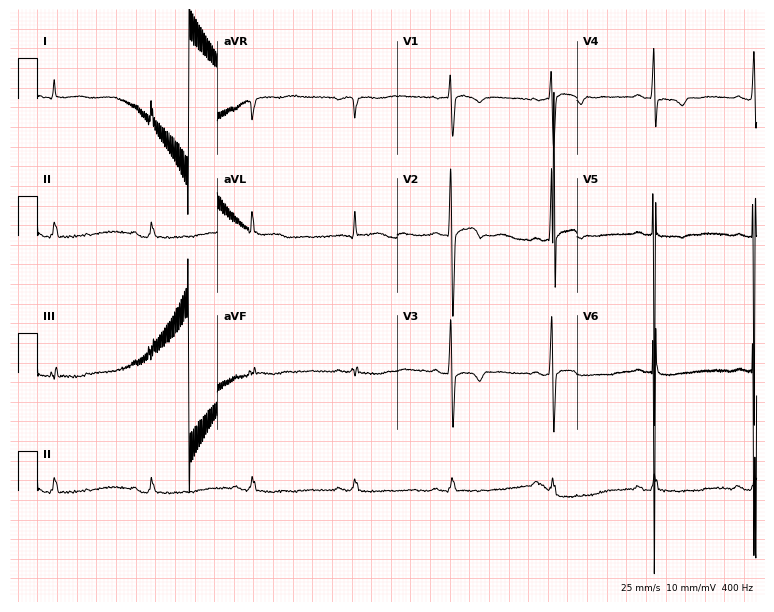
12-lead ECG from an 80-year-old male. No first-degree AV block, right bundle branch block (RBBB), left bundle branch block (LBBB), sinus bradycardia, atrial fibrillation (AF) or sinus tachycardia recorded for this tracing.